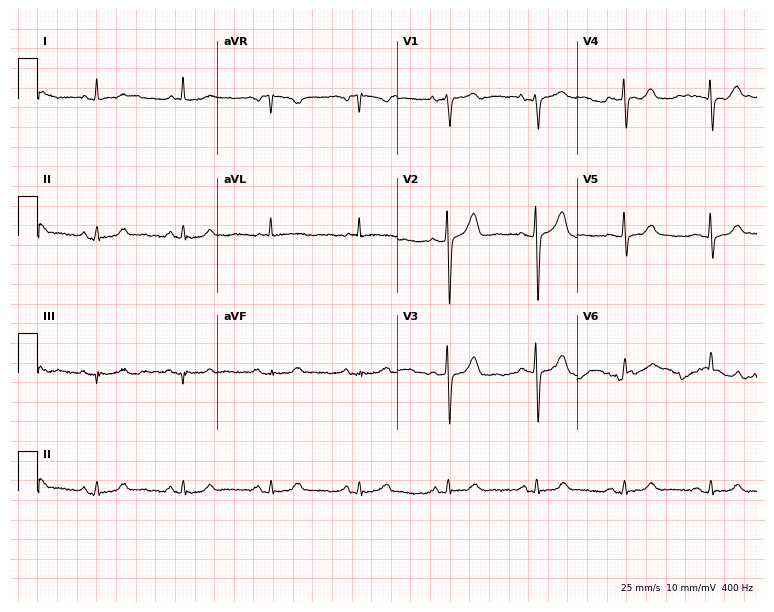
Electrocardiogram (7.3-second recording at 400 Hz), a woman, 84 years old. Of the six screened findings (first-degree AV block, right bundle branch block, left bundle branch block, sinus bradycardia, atrial fibrillation, sinus tachycardia), none is recorded. Other findings, if any, are not listed.